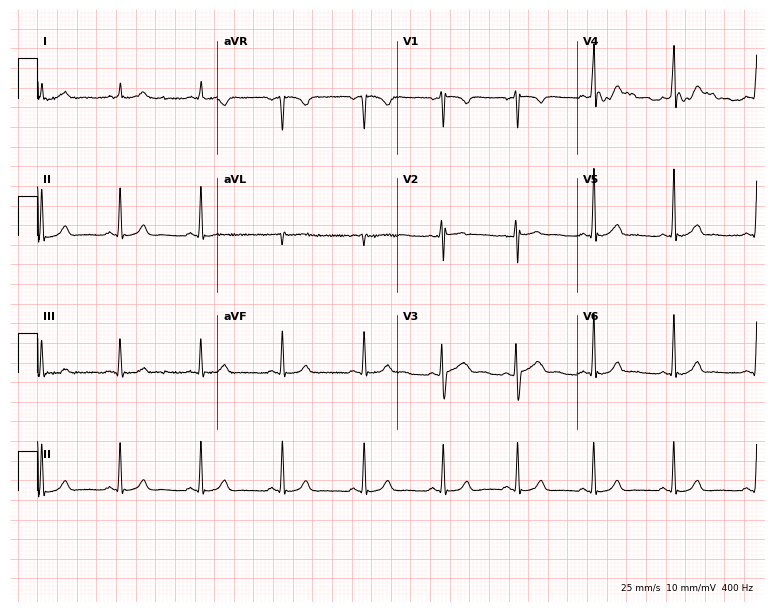
Electrocardiogram (7.3-second recording at 400 Hz), a female, 19 years old. Overall reading on record: normal ECG.